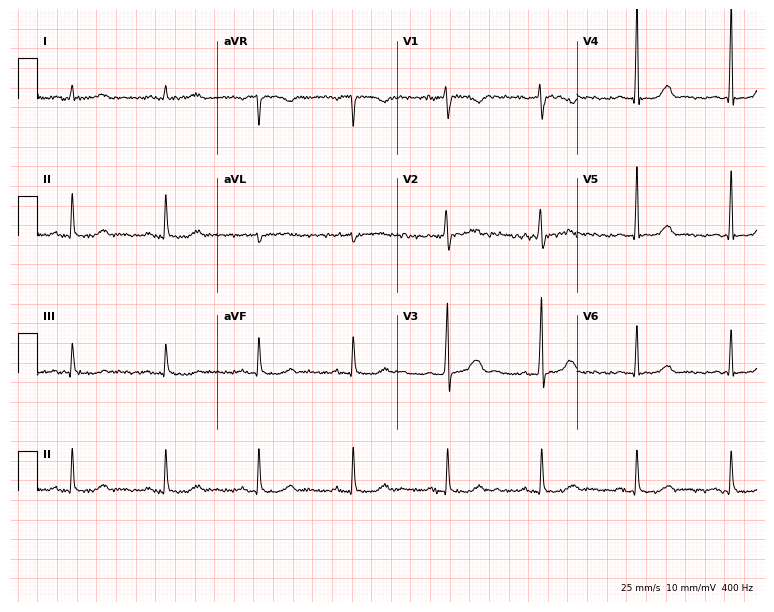
Resting 12-lead electrocardiogram. Patient: a 51-year-old female. Read as a normal ECG.